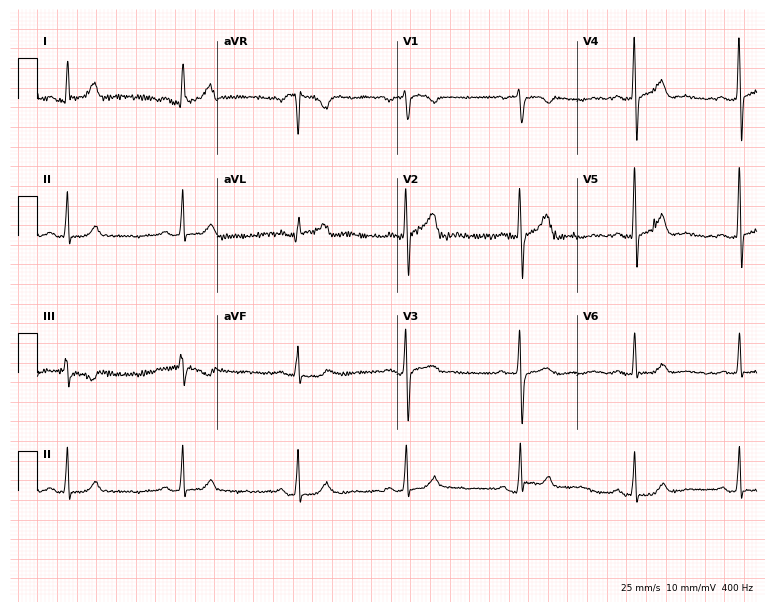
12-lead ECG from a 55-year-old female (7.3-second recording at 400 Hz). Recorded interpretation: within normal limits.